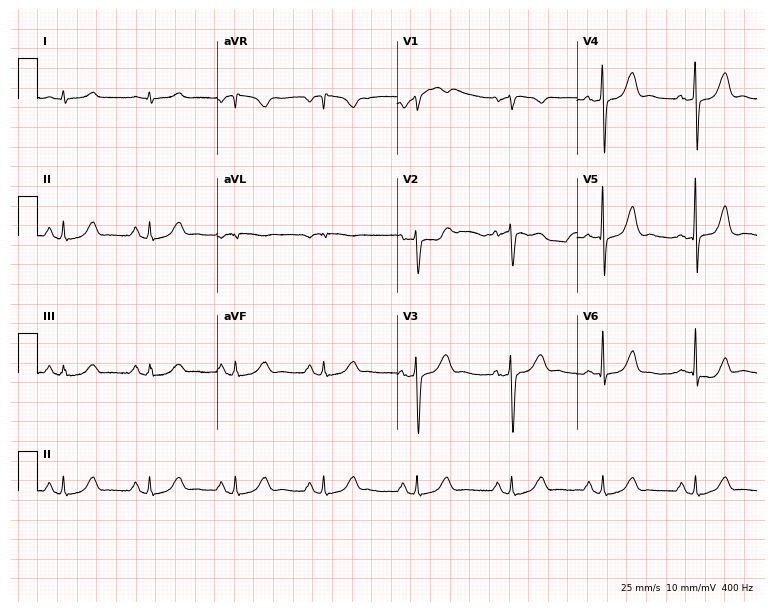
Standard 12-lead ECG recorded from a female patient, 57 years old (7.3-second recording at 400 Hz). Read as a normal ECG.